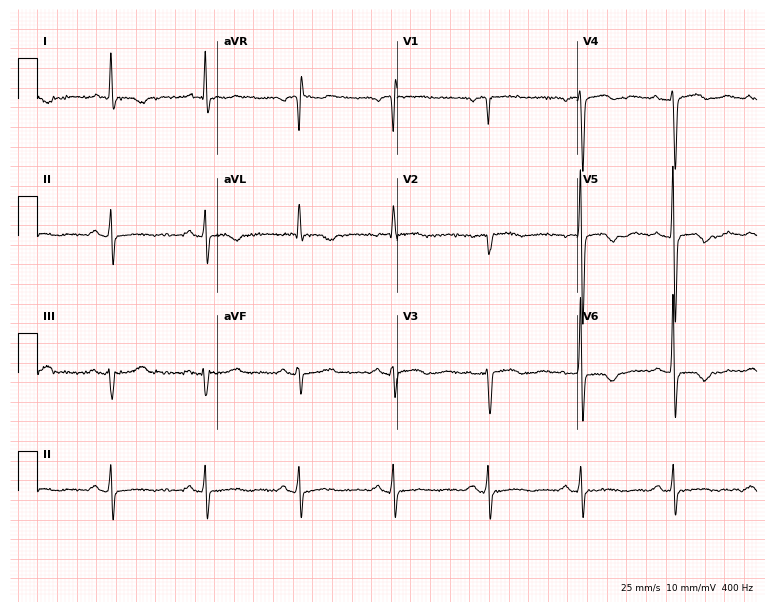
Standard 12-lead ECG recorded from a female patient, 81 years old. None of these six findings is recorded: first-degree AV block, right bundle branch block (RBBB), left bundle branch block (LBBB), sinus bradycardia, atrial fibrillation (AF), sinus tachycardia. Only these six findings were labelled.